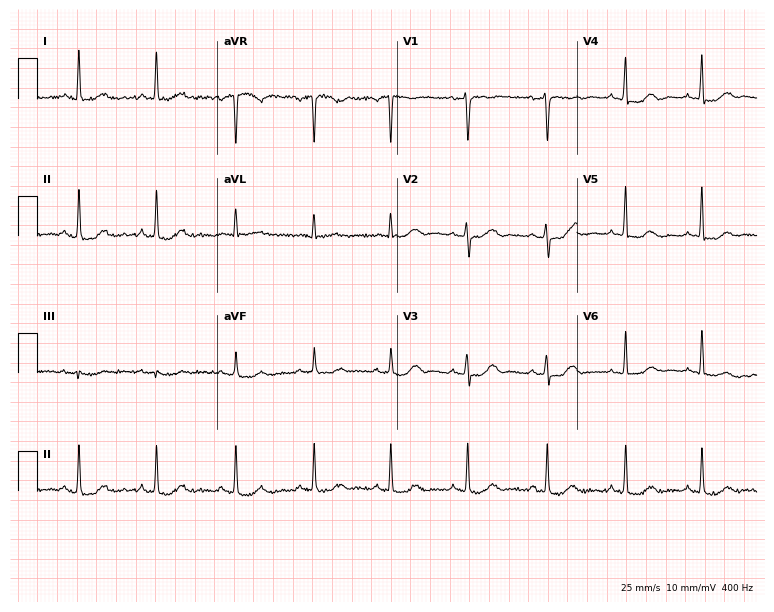
Electrocardiogram (7.3-second recording at 400 Hz), a 65-year-old female. Overall reading on record: normal ECG.